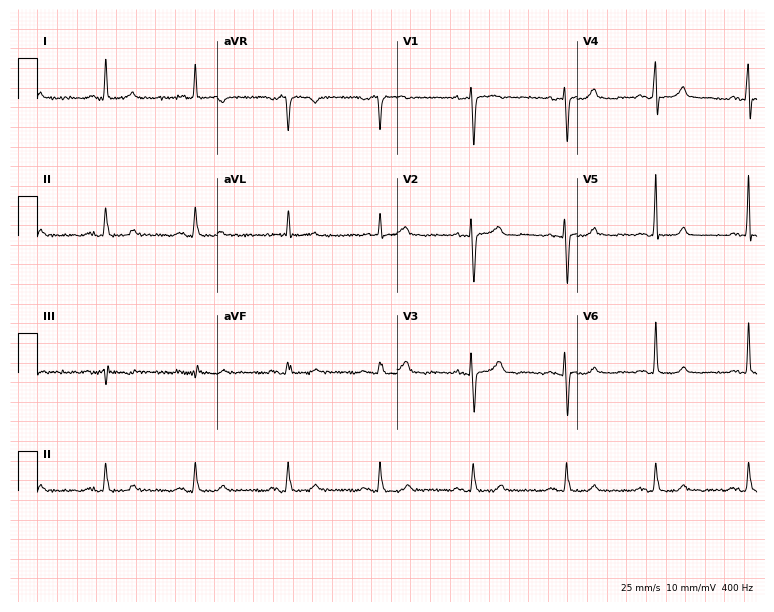
12-lead ECG from a woman, 74 years old. Recorded interpretation: within normal limits.